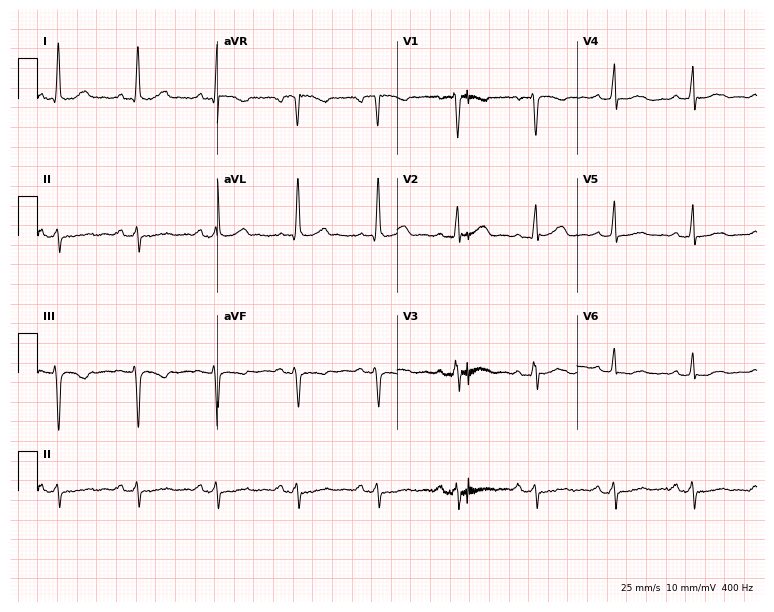
Standard 12-lead ECG recorded from a 54-year-old female. None of these six findings is recorded: first-degree AV block, right bundle branch block, left bundle branch block, sinus bradycardia, atrial fibrillation, sinus tachycardia.